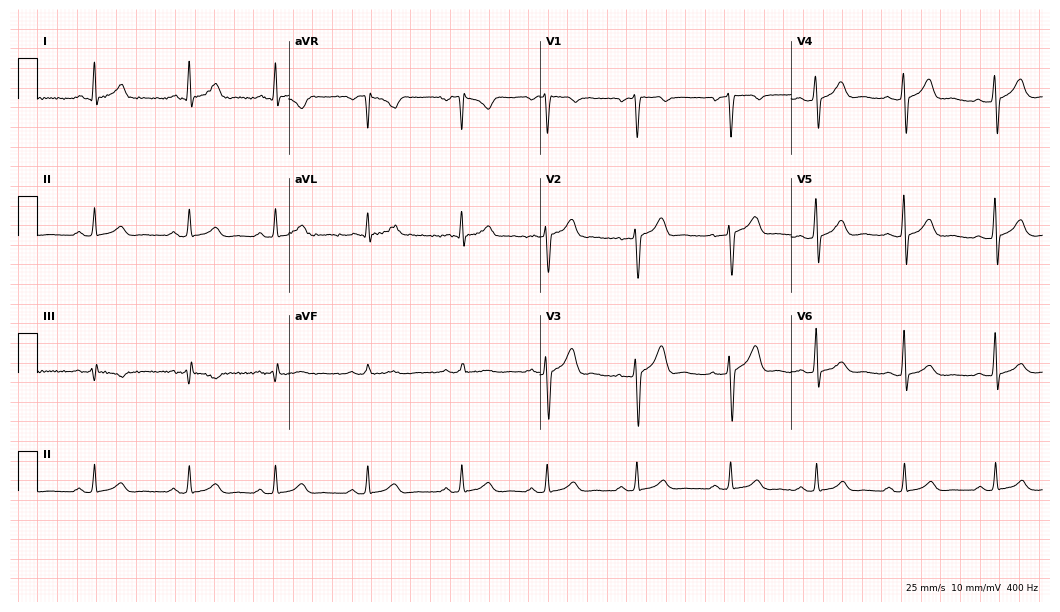
Standard 12-lead ECG recorded from a male patient, 35 years old. Read as a normal ECG.